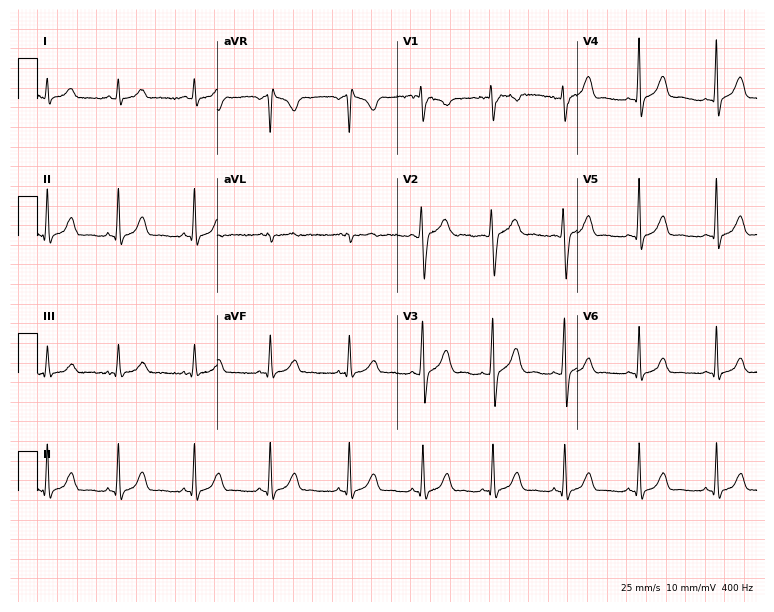
ECG — a woman, 32 years old. Labelled as a normal ECG.